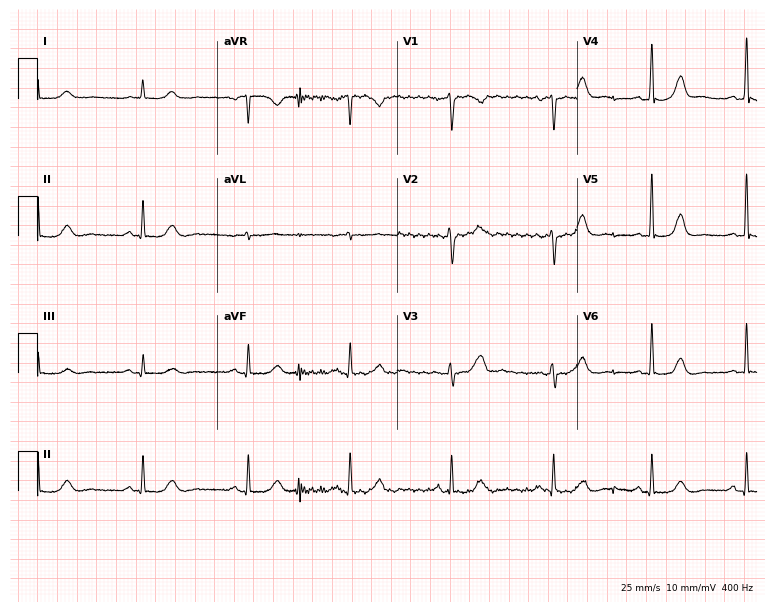
ECG (7.3-second recording at 400 Hz) — a woman, 58 years old. Screened for six findings — first-degree AV block, right bundle branch block, left bundle branch block, sinus bradycardia, atrial fibrillation, sinus tachycardia — none is recorded.